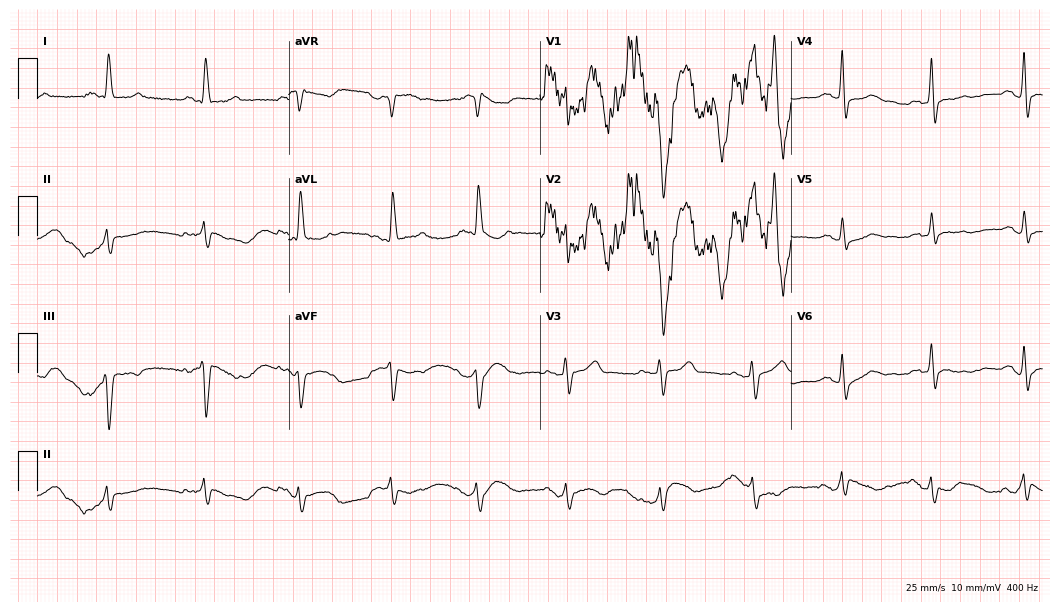
12-lead ECG from a female patient, 78 years old (10.2-second recording at 400 Hz). No first-degree AV block, right bundle branch block, left bundle branch block, sinus bradycardia, atrial fibrillation or sinus tachycardia recorded for this tracing. Findings outside these six are not listed.